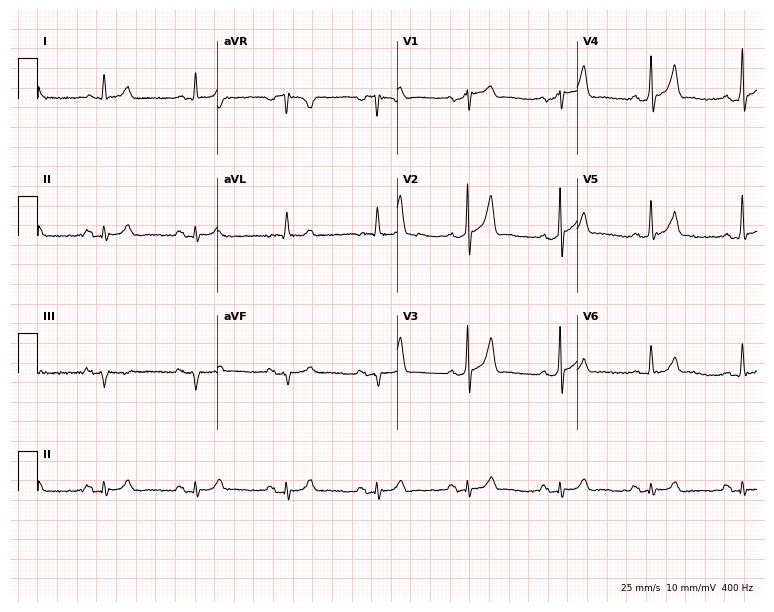
Electrocardiogram, a male, 63 years old. Overall reading on record: normal ECG.